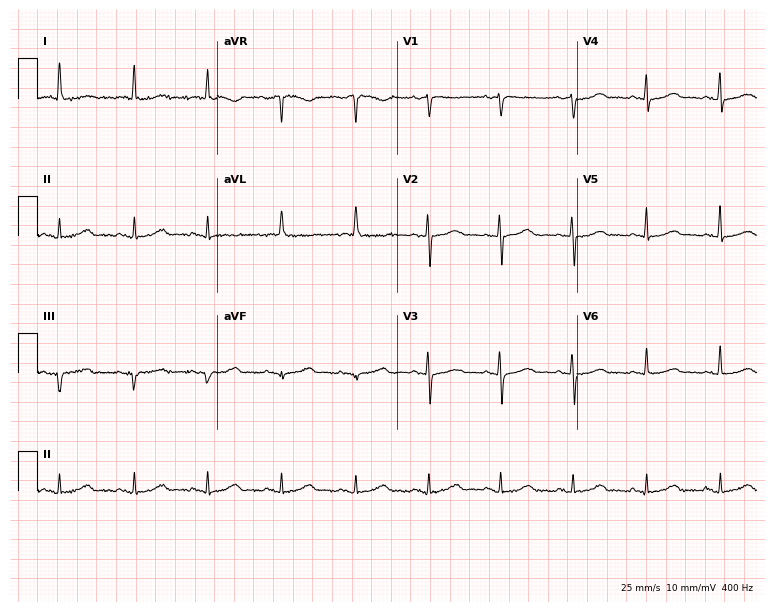
Electrocardiogram (7.3-second recording at 400 Hz), a woman, 74 years old. Overall reading on record: normal ECG.